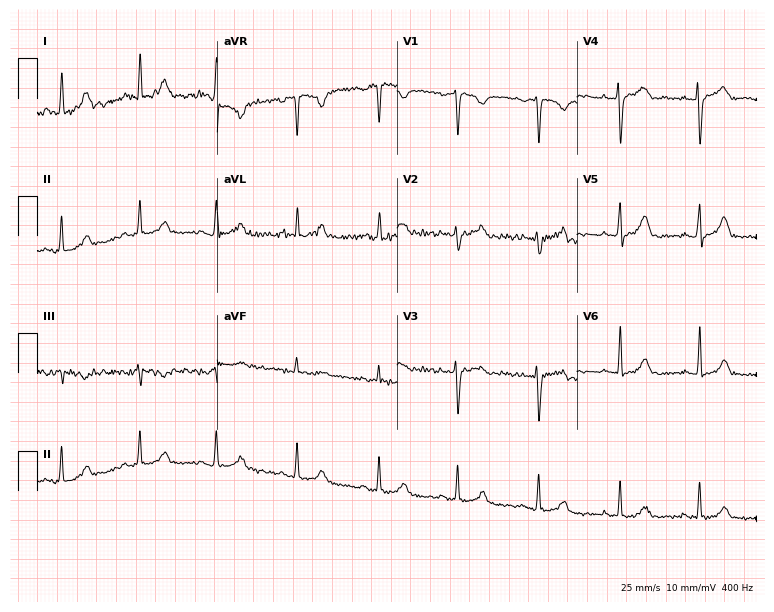
ECG — a female, 41 years old. Screened for six findings — first-degree AV block, right bundle branch block (RBBB), left bundle branch block (LBBB), sinus bradycardia, atrial fibrillation (AF), sinus tachycardia — none is recorded.